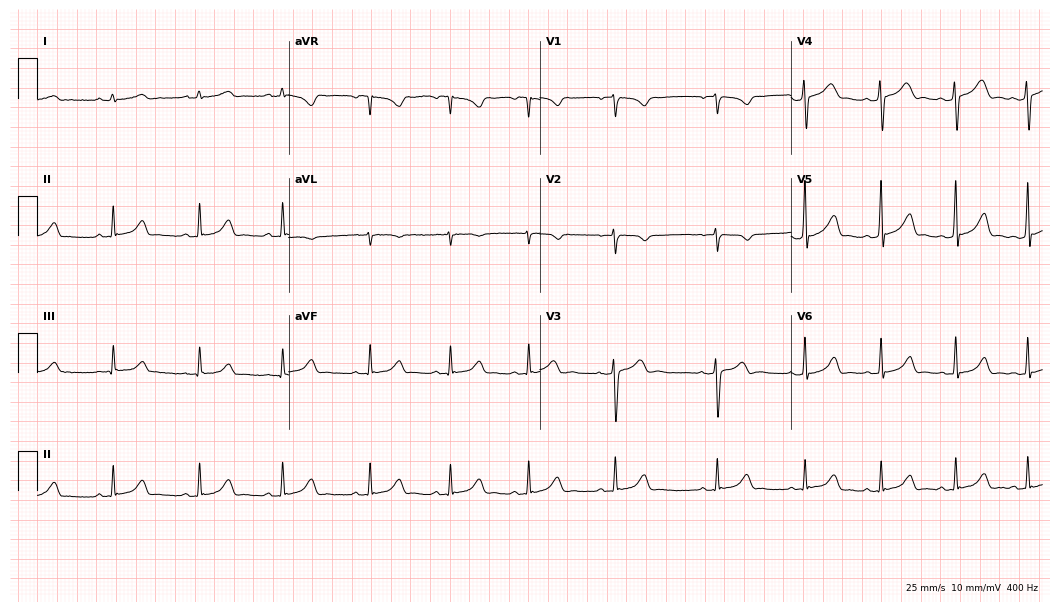
12-lead ECG from a female, 21 years old. No first-degree AV block, right bundle branch block, left bundle branch block, sinus bradycardia, atrial fibrillation or sinus tachycardia recorded for this tracing.